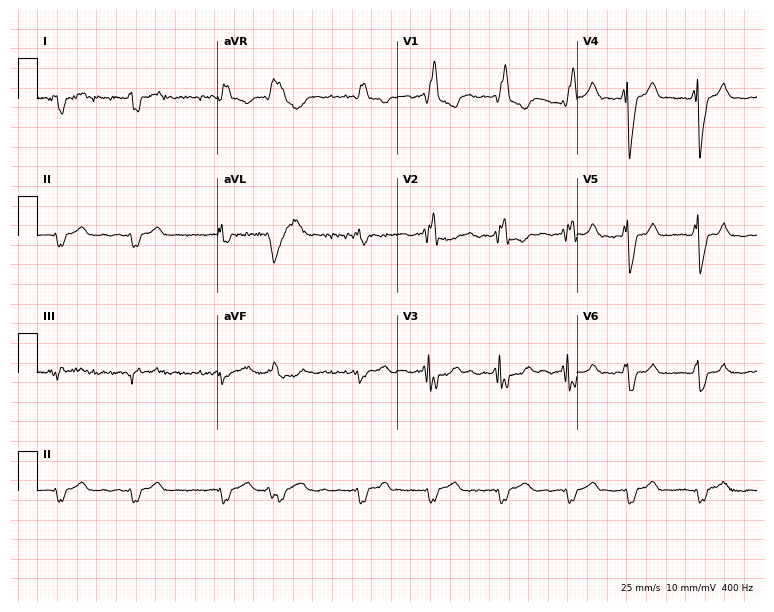
ECG (7.3-second recording at 400 Hz) — a male patient, 68 years old. Findings include right bundle branch block, atrial fibrillation.